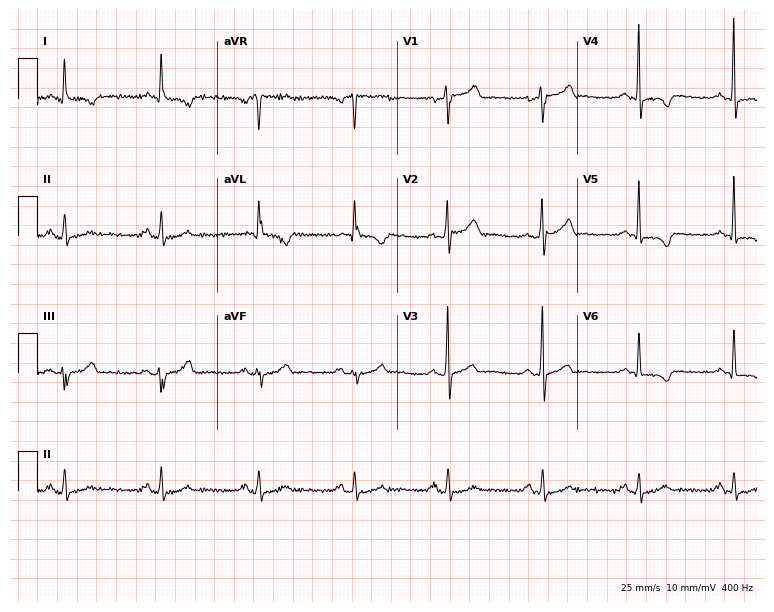
12-lead ECG from a 62-year-old man. Screened for six findings — first-degree AV block, right bundle branch block, left bundle branch block, sinus bradycardia, atrial fibrillation, sinus tachycardia — none is recorded.